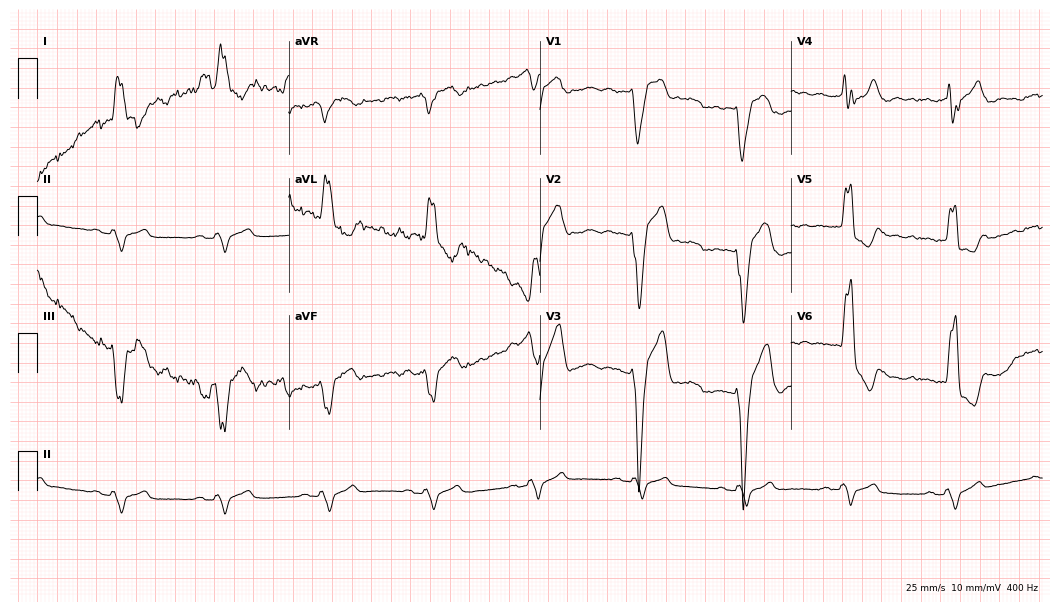
ECG — an 83-year-old male patient. Screened for six findings — first-degree AV block, right bundle branch block, left bundle branch block, sinus bradycardia, atrial fibrillation, sinus tachycardia — none is recorded. Findings outside these six are not listed.